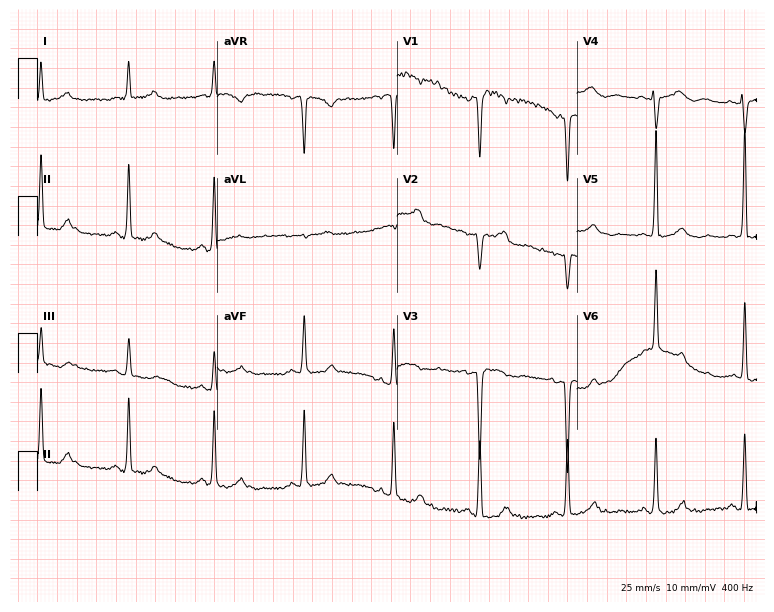
12-lead ECG from a female, 51 years old (7.3-second recording at 400 Hz). No first-degree AV block, right bundle branch block (RBBB), left bundle branch block (LBBB), sinus bradycardia, atrial fibrillation (AF) or sinus tachycardia recorded for this tracing.